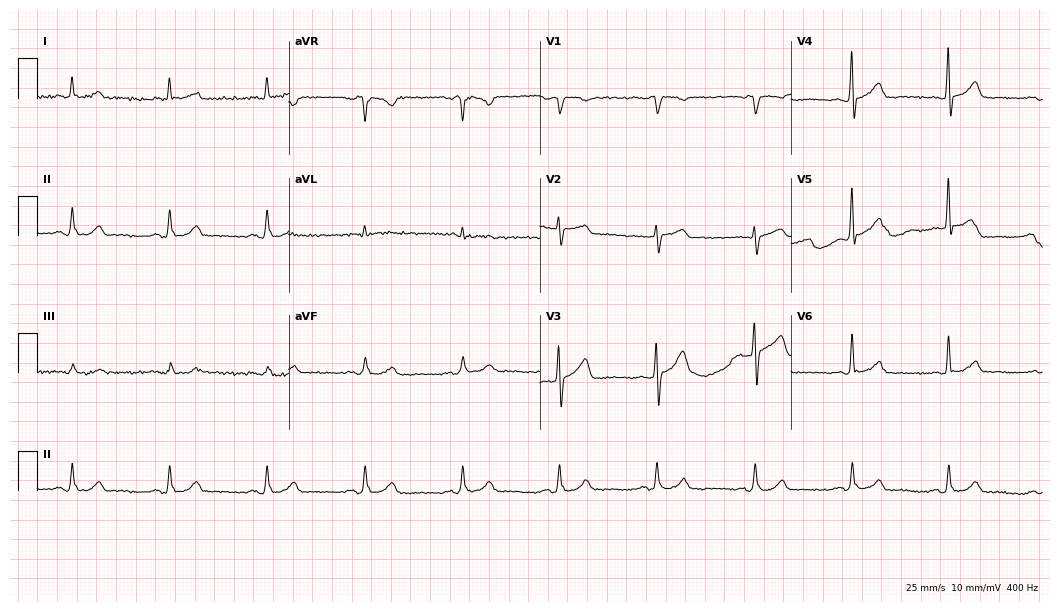
12-lead ECG from a man, 79 years old (10.2-second recording at 400 Hz). No first-degree AV block, right bundle branch block, left bundle branch block, sinus bradycardia, atrial fibrillation or sinus tachycardia recorded for this tracing. Findings outside these six are not listed.